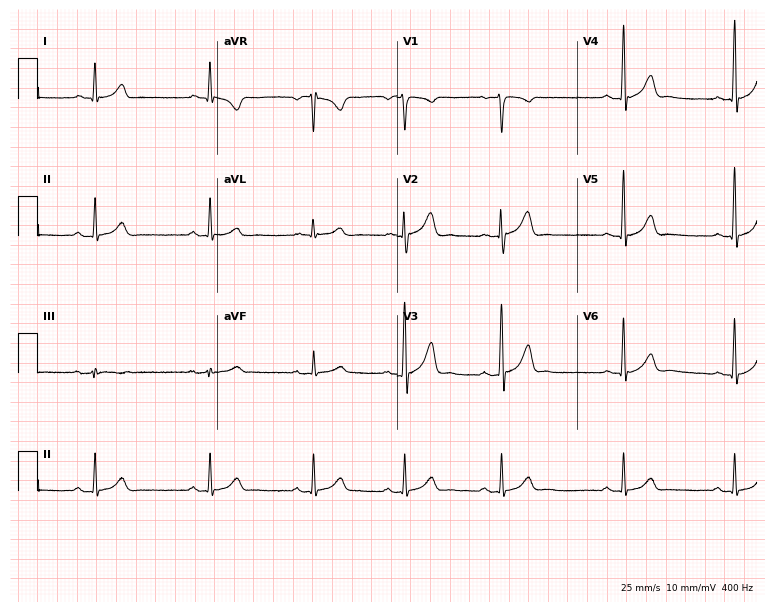
ECG — a 33-year-old male. Labelled as a normal ECG.